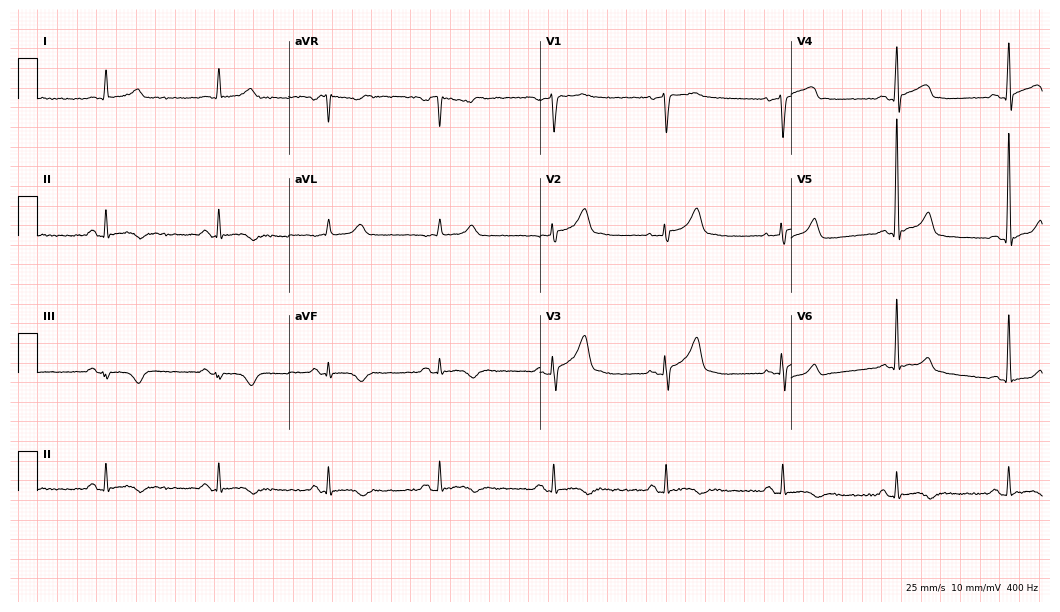
Electrocardiogram (10.2-second recording at 400 Hz), a 58-year-old male patient. Of the six screened findings (first-degree AV block, right bundle branch block, left bundle branch block, sinus bradycardia, atrial fibrillation, sinus tachycardia), none is recorded. Only these six findings were labelled.